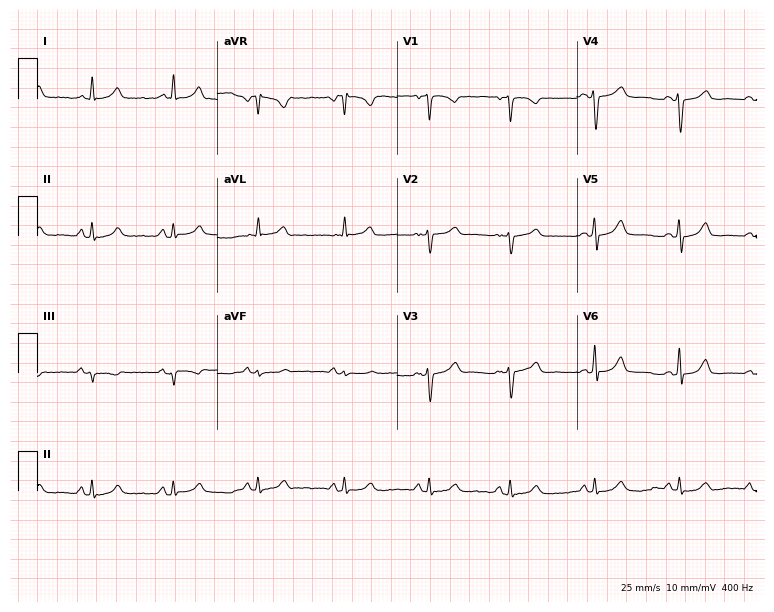
12-lead ECG from a female, 44 years old (7.3-second recording at 400 Hz). No first-degree AV block, right bundle branch block, left bundle branch block, sinus bradycardia, atrial fibrillation or sinus tachycardia recorded for this tracing. Only these six findings were labelled.